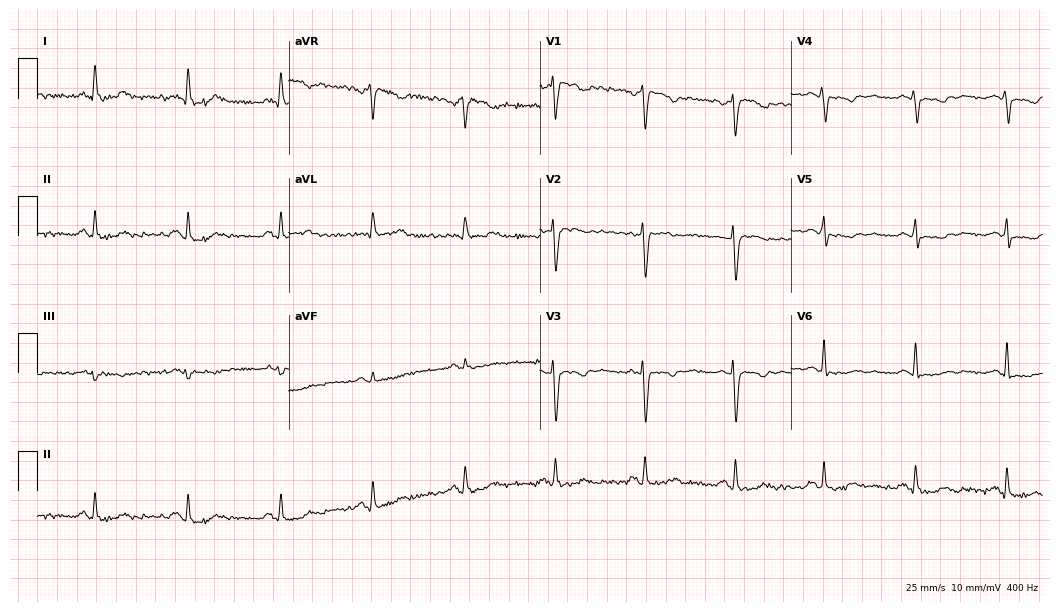
Electrocardiogram, a female, 47 years old. Of the six screened findings (first-degree AV block, right bundle branch block, left bundle branch block, sinus bradycardia, atrial fibrillation, sinus tachycardia), none is recorded.